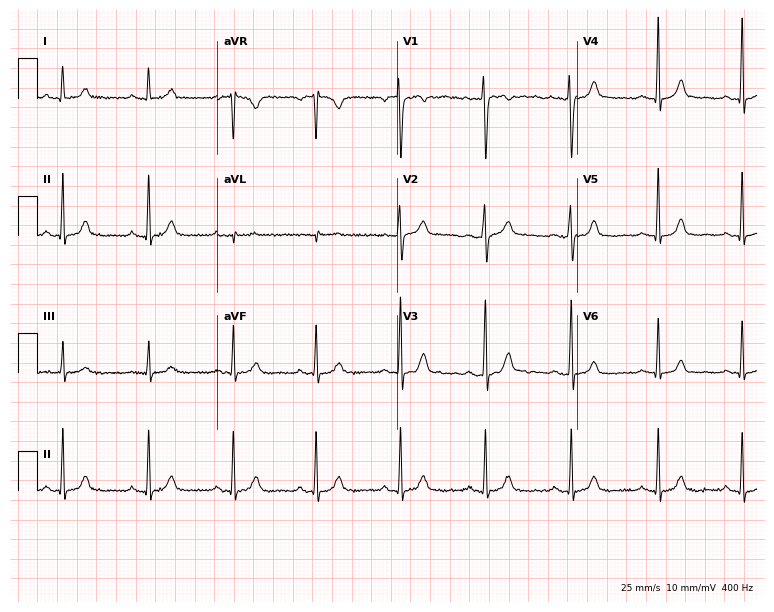
Resting 12-lead electrocardiogram (7.3-second recording at 400 Hz). Patient: a female, 36 years old. None of these six findings is recorded: first-degree AV block, right bundle branch block, left bundle branch block, sinus bradycardia, atrial fibrillation, sinus tachycardia.